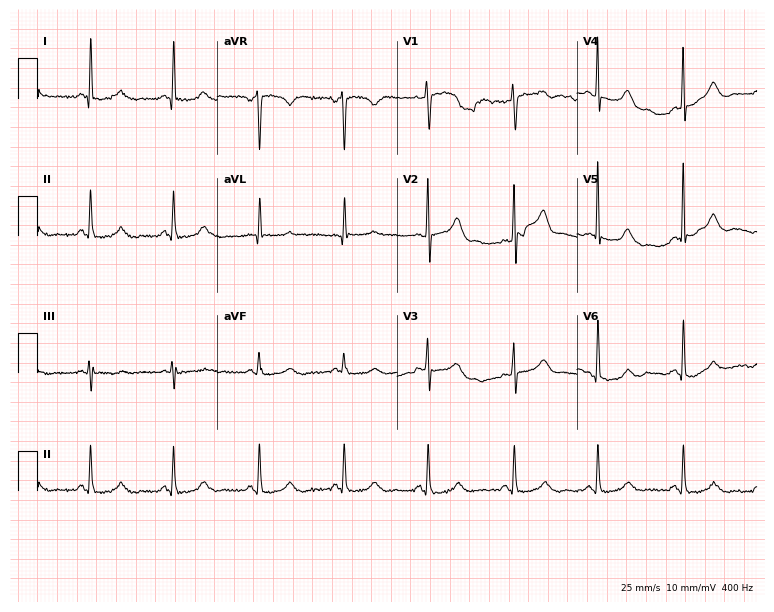
Standard 12-lead ECG recorded from a female patient, 59 years old (7.3-second recording at 400 Hz). None of these six findings is recorded: first-degree AV block, right bundle branch block, left bundle branch block, sinus bradycardia, atrial fibrillation, sinus tachycardia. Findings outside these six are not listed.